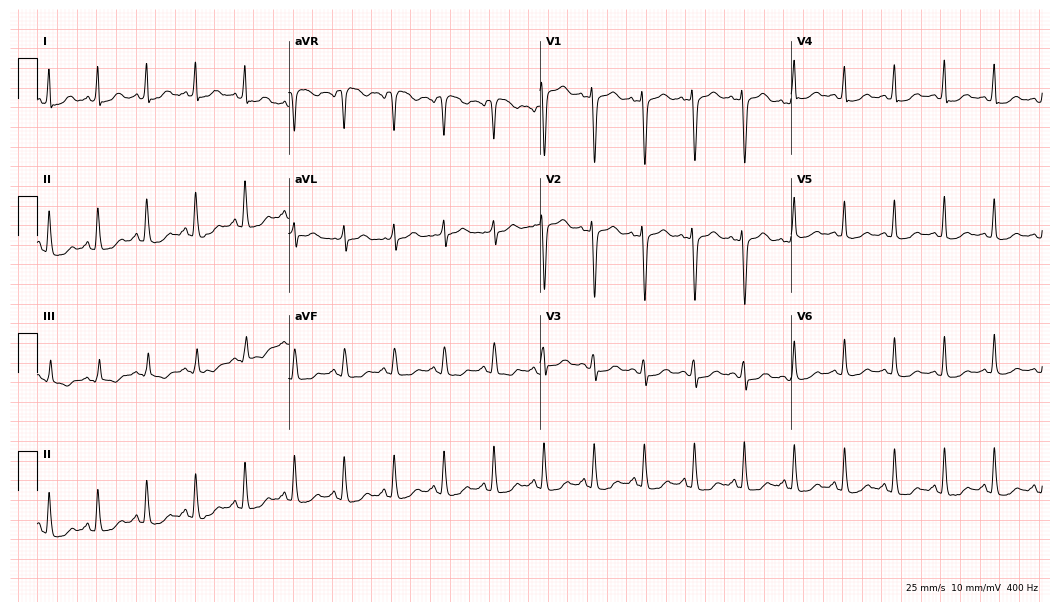
Resting 12-lead electrocardiogram (10.2-second recording at 400 Hz). Patient: a female, 27 years old. The tracing shows sinus tachycardia (a sinus rate of 100 beats per minute or more).